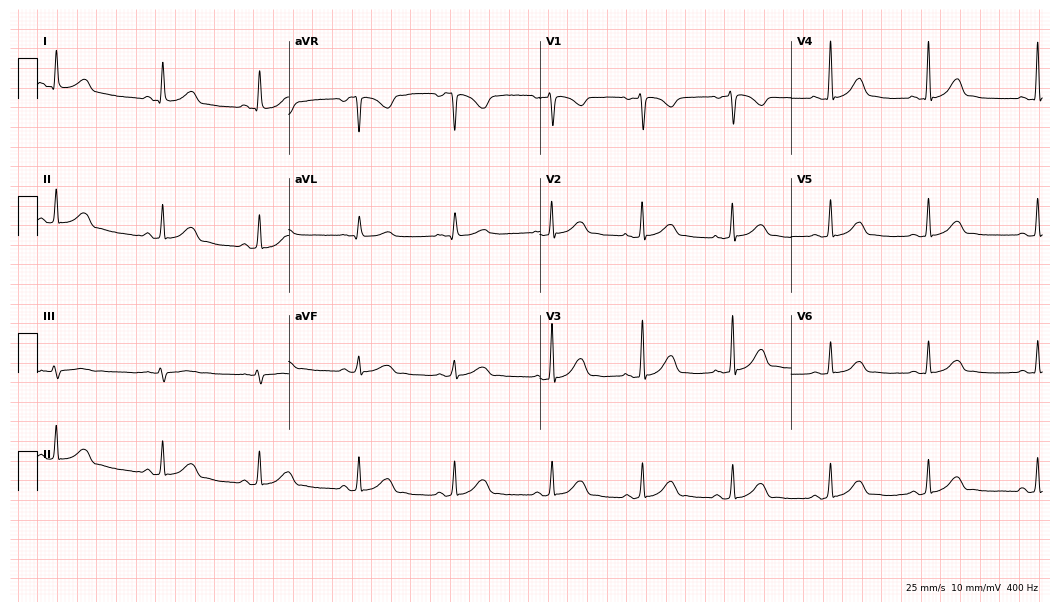
12-lead ECG from a 36-year-old female patient (10.2-second recording at 400 Hz). Recorded interpretation: within normal limits.